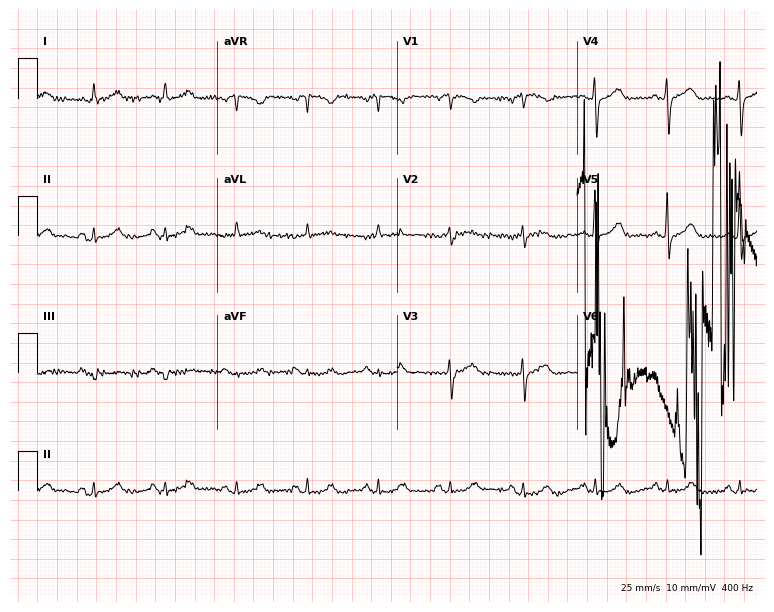
Standard 12-lead ECG recorded from a woman, 73 years old. Read as a normal ECG.